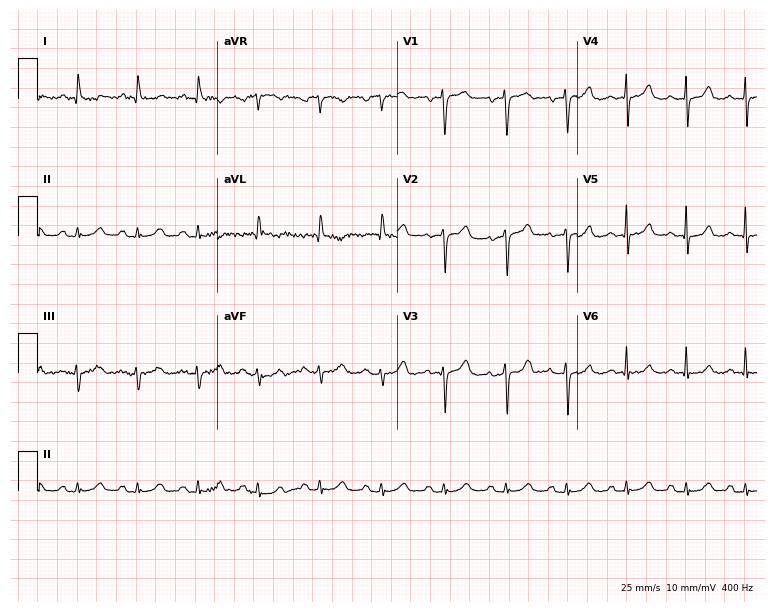
ECG — a 60-year-old female. Screened for six findings — first-degree AV block, right bundle branch block, left bundle branch block, sinus bradycardia, atrial fibrillation, sinus tachycardia — none is recorded. Other findings, if any, are not listed.